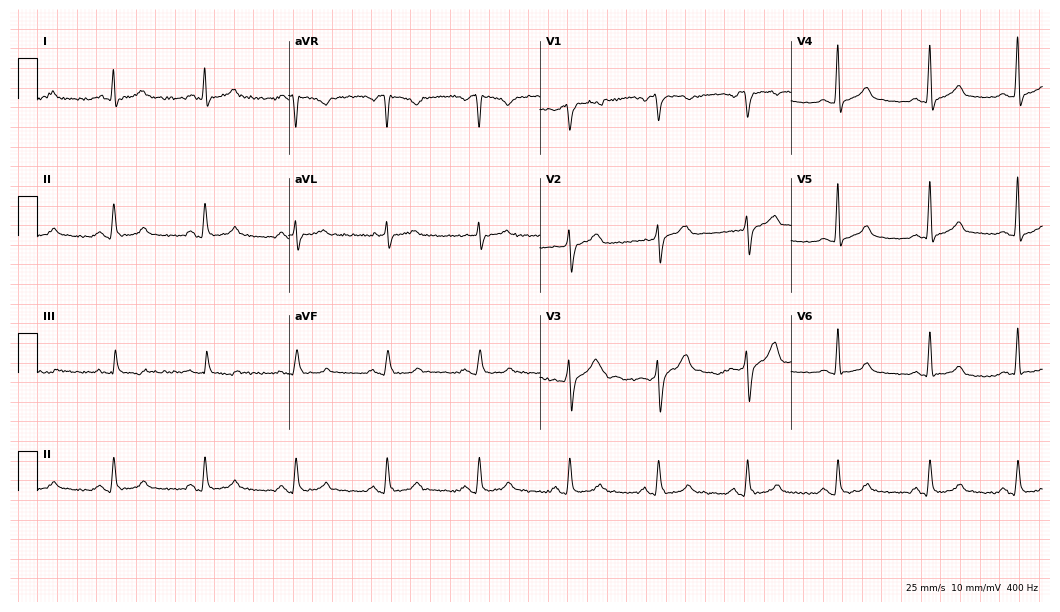
ECG (10.2-second recording at 400 Hz) — a man, 49 years old. Screened for six findings — first-degree AV block, right bundle branch block, left bundle branch block, sinus bradycardia, atrial fibrillation, sinus tachycardia — none is recorded.